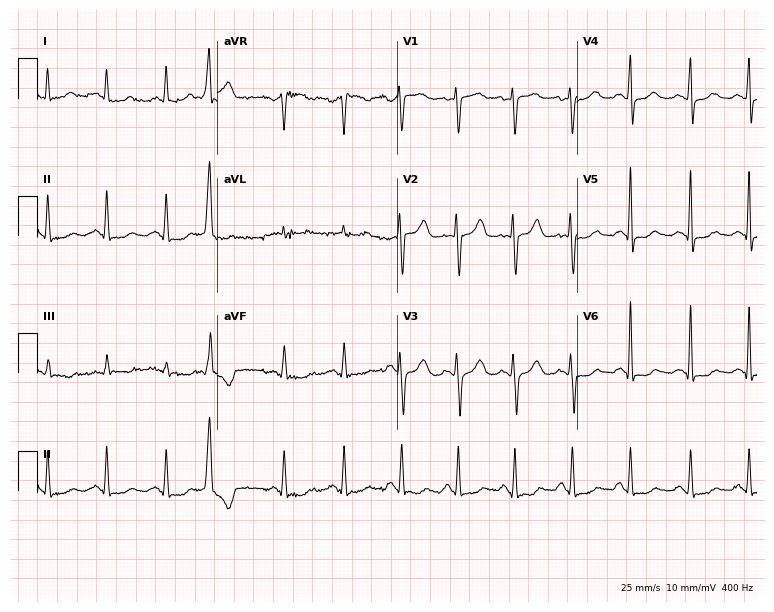
Electrocardiogram, a 56-year-old female. Of the six screened findings (first-degree AV block, right bundle branch block (RBBB), left bundle branch block (LBBB), sinus bradycardia, atrial fibrillation (AF), sinus tachycardia), none is recorded. Only these six findings were labelled.